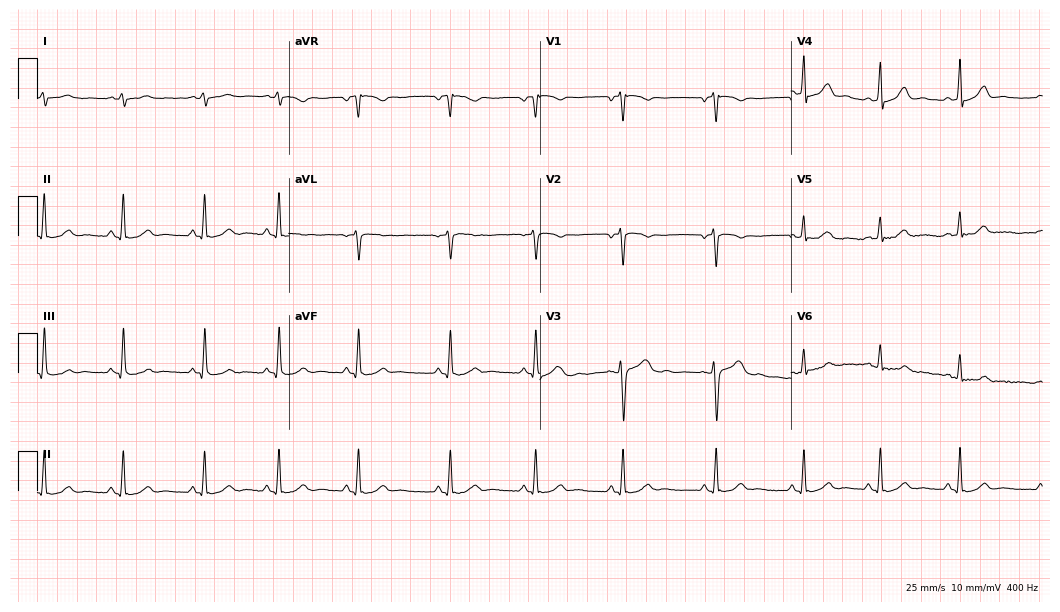
12-lead ECG from a woman, 17 years old (10.2-second recording at 400 Hz). Recorded interpretation: within normal limits.